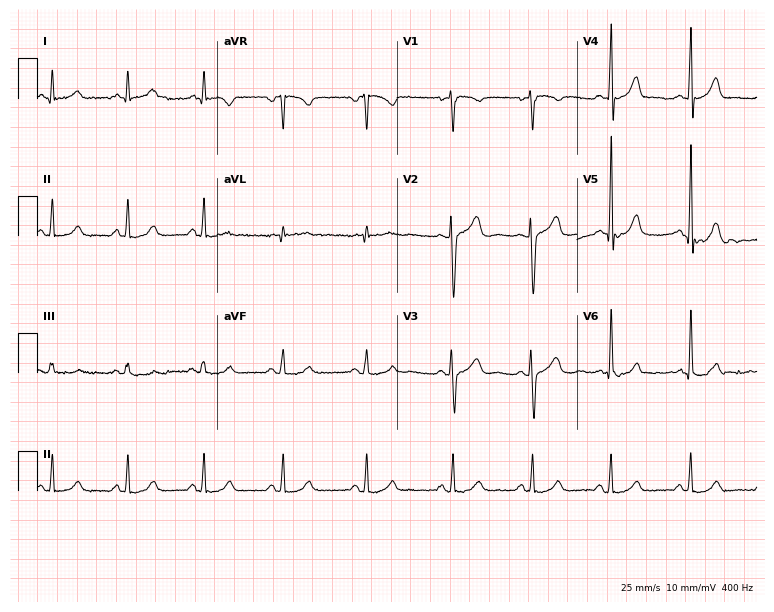
ECG (7.3-second recording at 400 Hz) — a female, 35 years old. Labelled as a normal ECG.